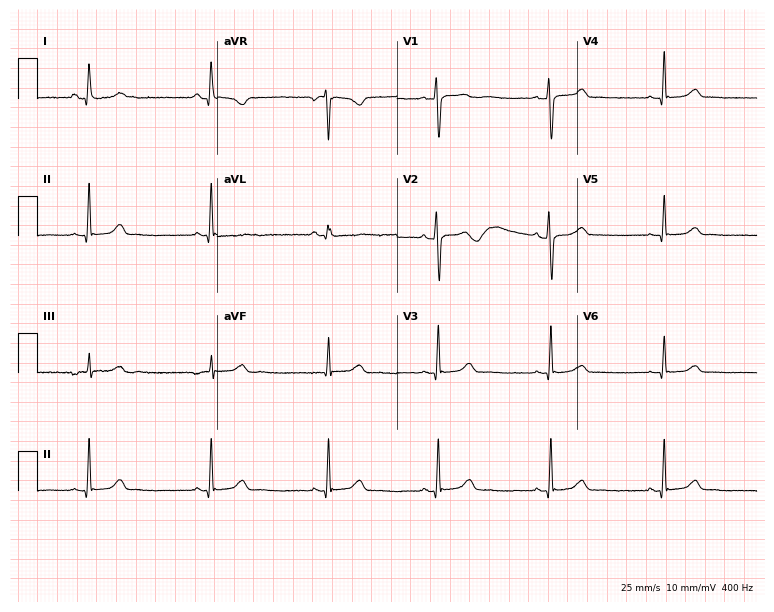
Resting 12-lead electrocardiogram (7.3-second recording at 400 Hz). Patient: a female, 28 years old. Read as a normal ECG.